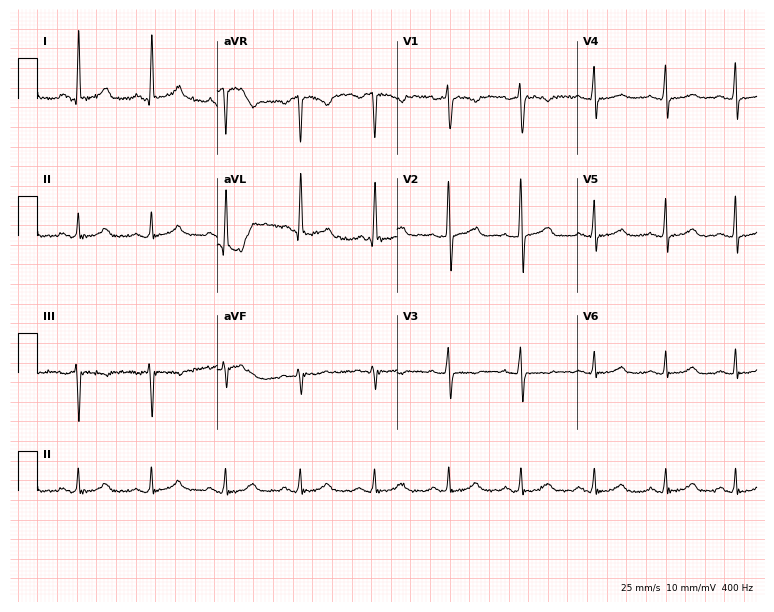
Standard 12-lead ECG recorded from a female, 51 years old (7.3-second recording at 400 Hz). Read as a normal ECG.